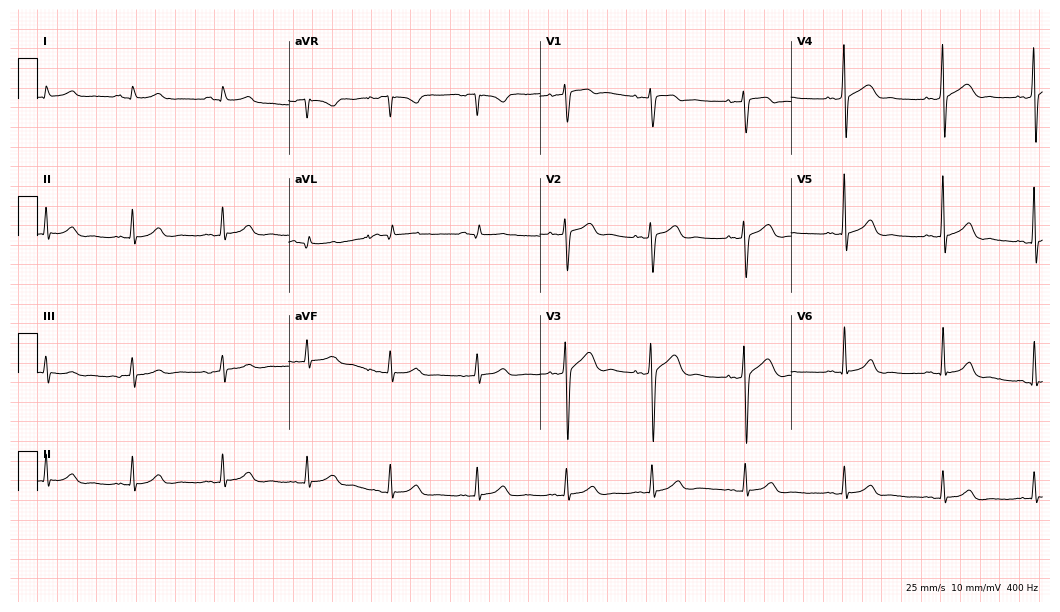
ECG — a female patient, 31 years old. Labelled as a normal ECG.